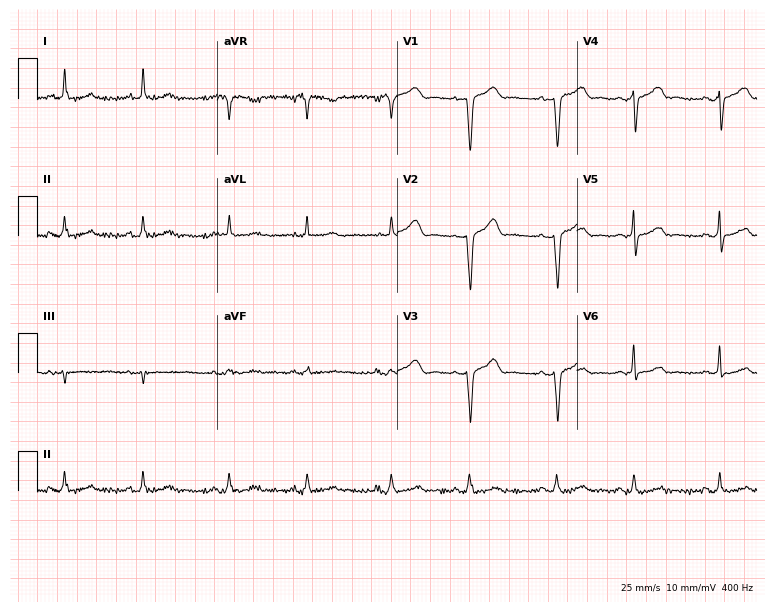
12-lead ECG from a female patient, 69 years old. Recorded interpretation: within normal limits.